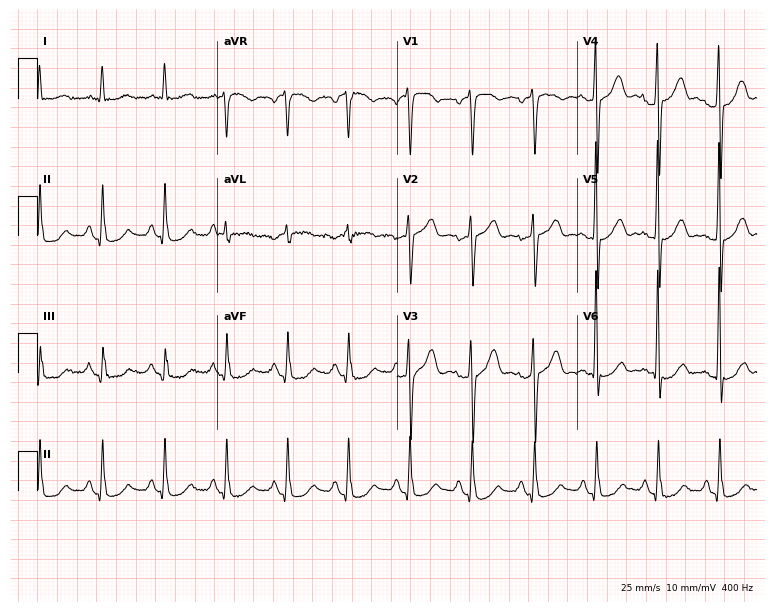
Standard 12-lead ECG recorded from a man, 82 years old (7.3-second recording at 400 Hz). None of these six findings is recorded: first-degree AV block, right bundle branch block (RBBB), left bundle branch block (LBBB), sinus bradycardia, atrial fibrillation (AF), sinus tachycardia.